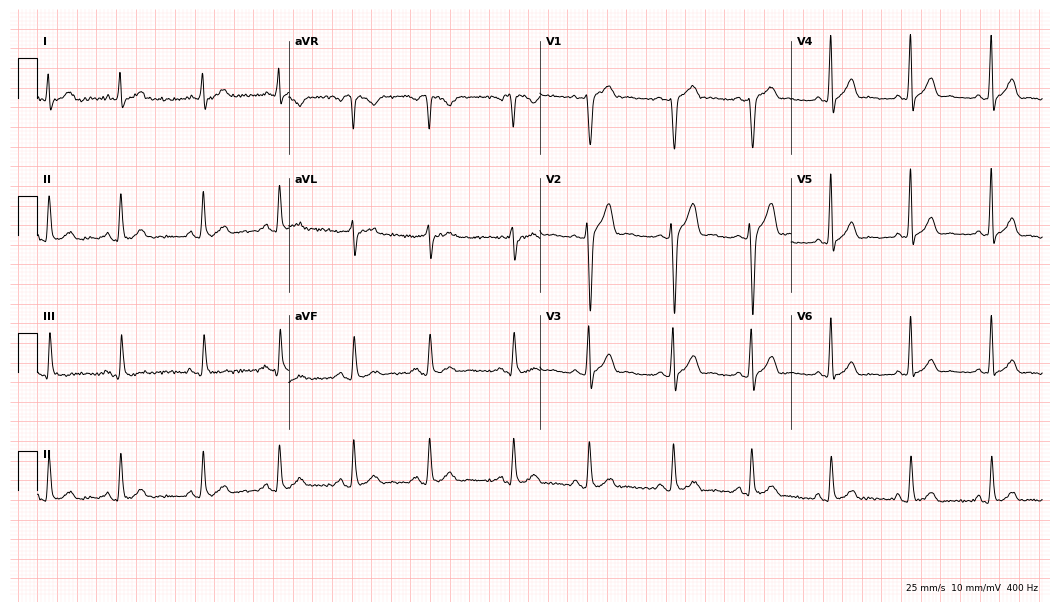
Electrocardiogram, a 27-year-old man. Overall reading on record: normal ECG.